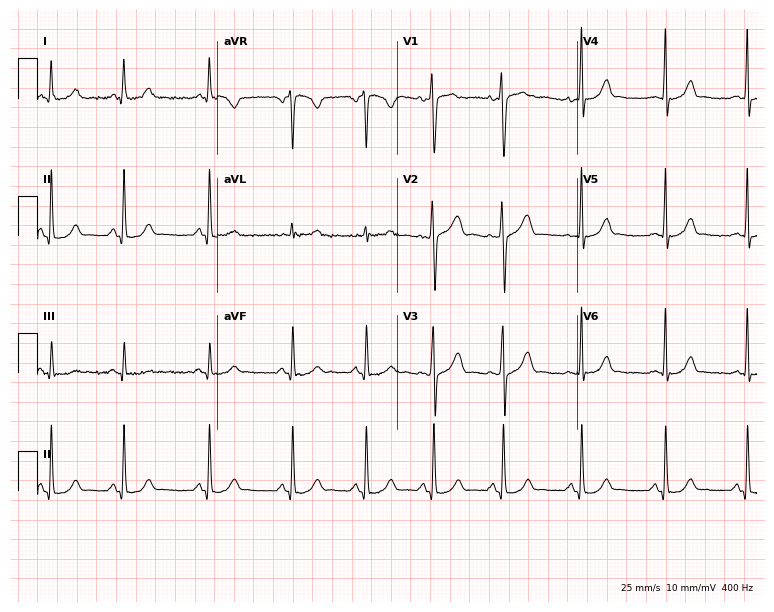
Standard 12-lead ECG recorded from a 25-year-old woman (7.3-second recording at 400 Hz). Read as a normal ECG.